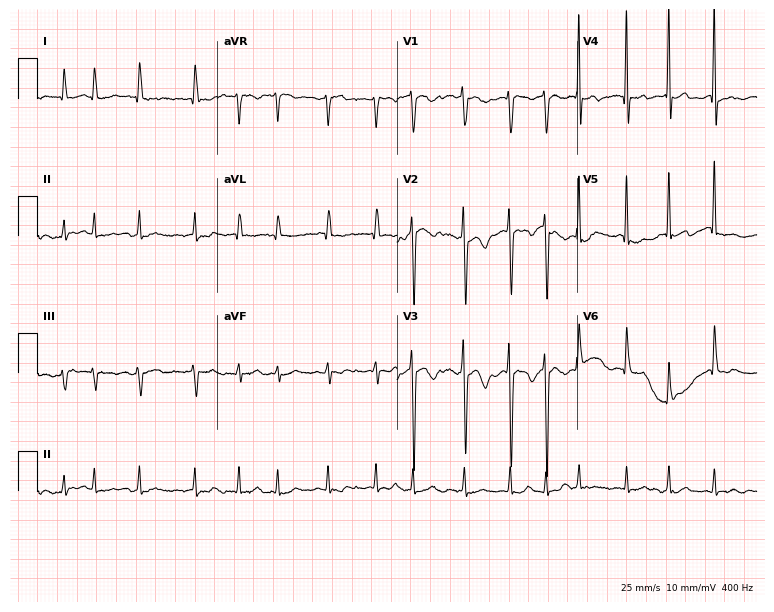
Standard 12-lead ECG recorded from a 79-year-old female patient (7.3-second recording at 400 Hz). The tracing shows atrial fibrillation.